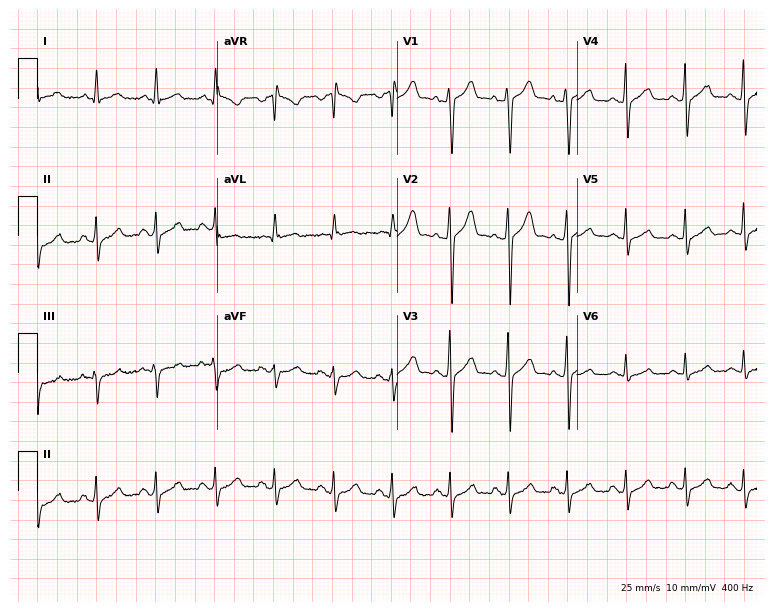
Resting 12-lead electrocardiogram (7.3-second recording at 400 Hz). Patient: a male, 31 years old. None of these six findings is recorded: first-degree AV block, right bundle branch block, left bundle branch block, sinus bradycardia, atrial fibrillation, sinus tachycardia. Findings outside these six are not listed.